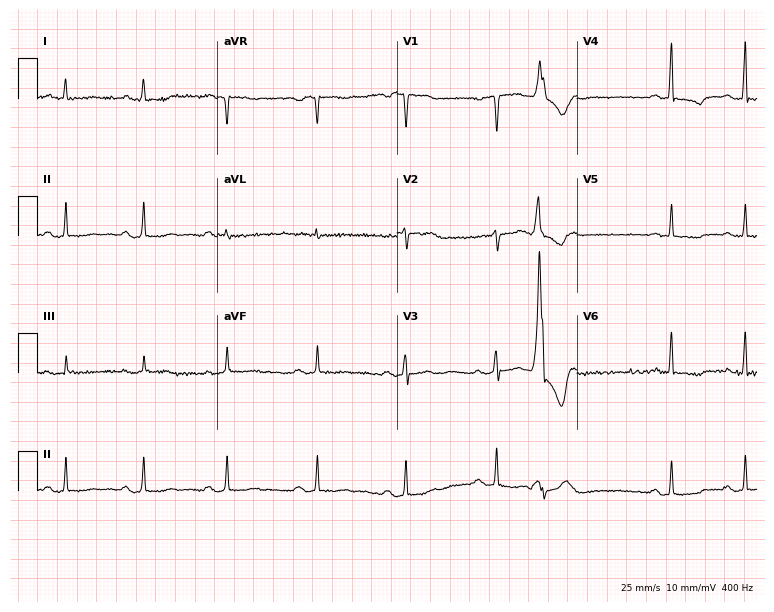
12-lead ECG from a 53-year-old female patient. Screened for six findings — first-degree AV block, right bundle branch block (RBBB), left bundle branch block (LBBB), sinus bradycardia, atrial fibrillation (AF), sinus tachycardia — none is recorded. Only these six findings were labelled.